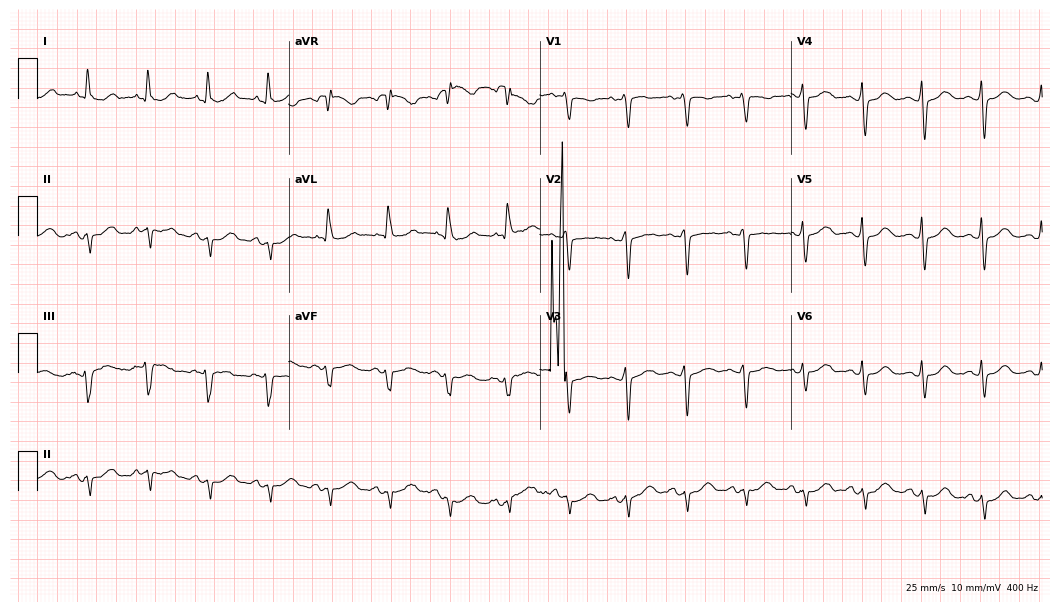
Resting 12-lead electrocardiogram. Patient: a woman, 77 years old. None of these six findings is recorded: first-degree AV block, right bundle branch block, left bundle branch block, sinus bradycardia, atrial fibrillation, sinus tachycardia.